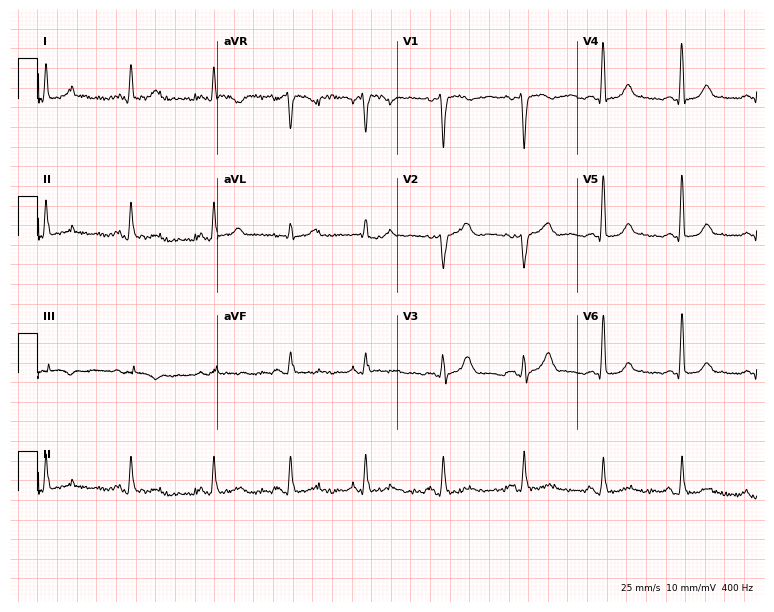
12-lead ECG (7.3-second recording at 400 Hz) from a 64-year-old female. Screened for six findings — first-degree AV block, right bundle branch block, left bundle branch block, sinus bradycardia, atrial fibrillation, sinus tachycardia — none is recorded. Other findings, if any, are not listed.